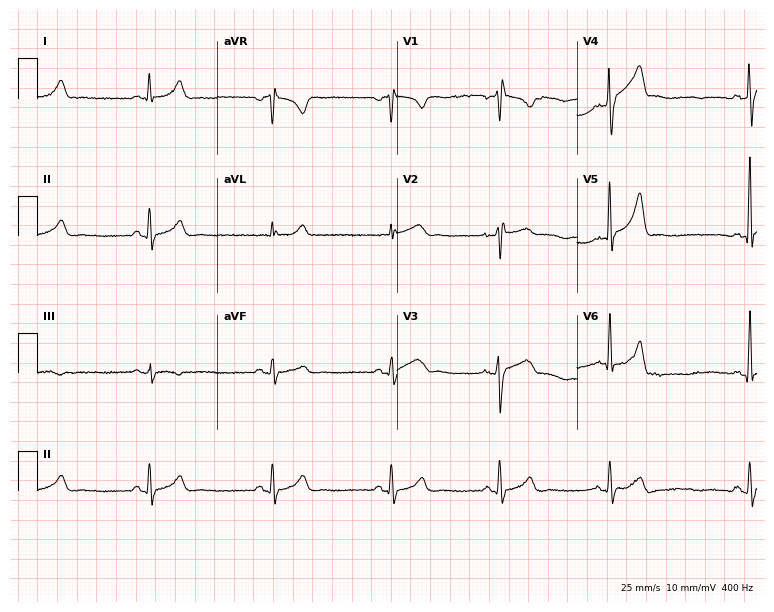
Standard 12-lead ECG recorded from a male patient, 48 years old (7.3-second recording at 400 Hz). None of these six findings is recorded: first-degree AV block, right bundle branch block, left bundle branch block, sinus bradycardia, atrial fibrillation, sinus tachycardia.